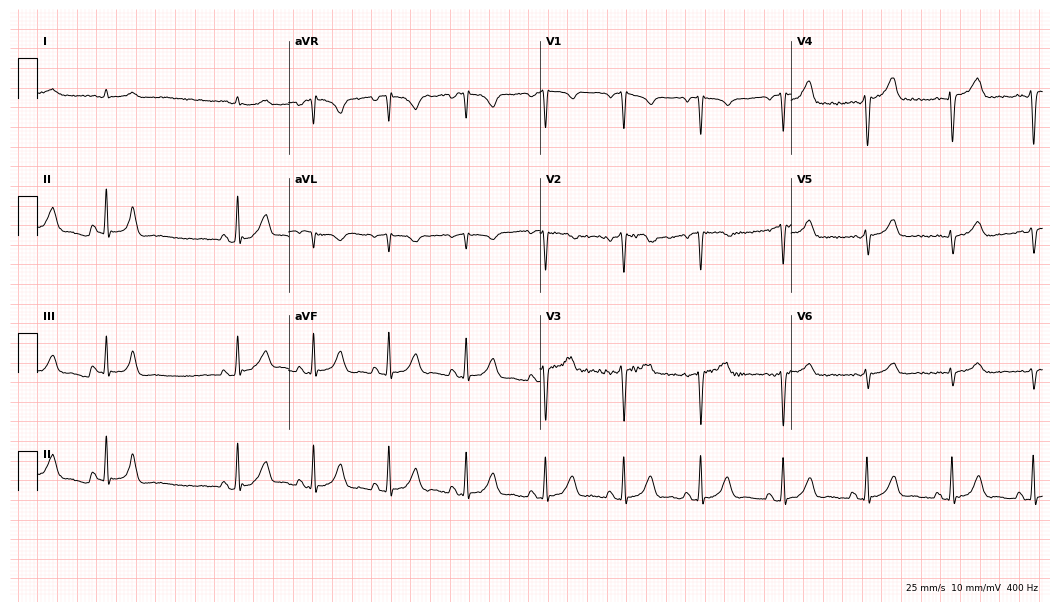
12-lead ECG from a male, 61 years old. Screened for six findings — first-degree AV block, right bundle branch block, left bundle branch block, sinus bradycardia, atrial fibrillation, sinus tachycardia — none is recorded.